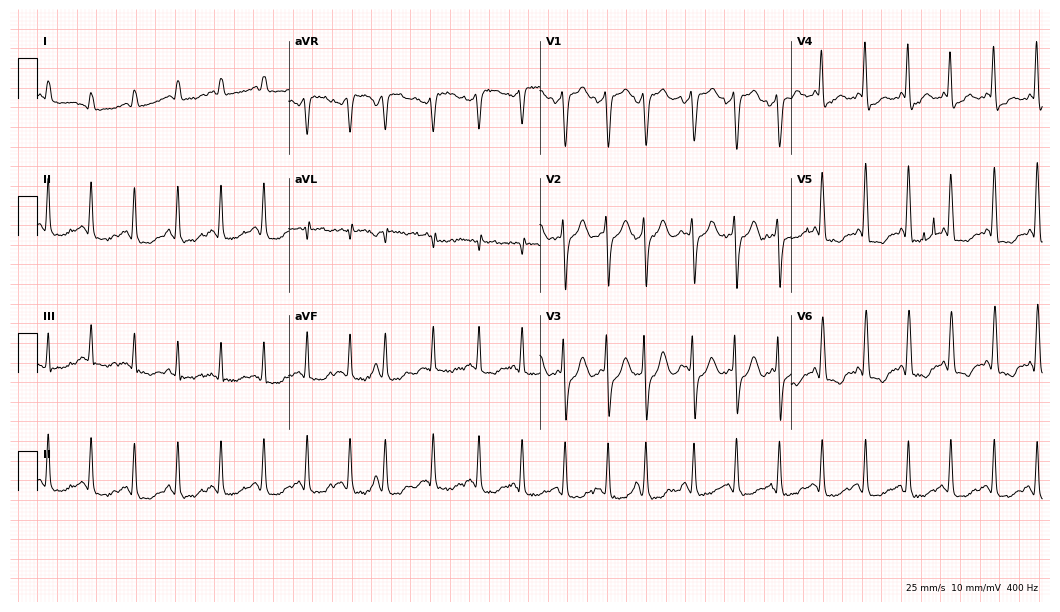
Standard 12-lead ECG recorded from a 77-year-old female patient. The tracing shows sinus tachycardia (a sinus rate of 100 beats per minute or more).